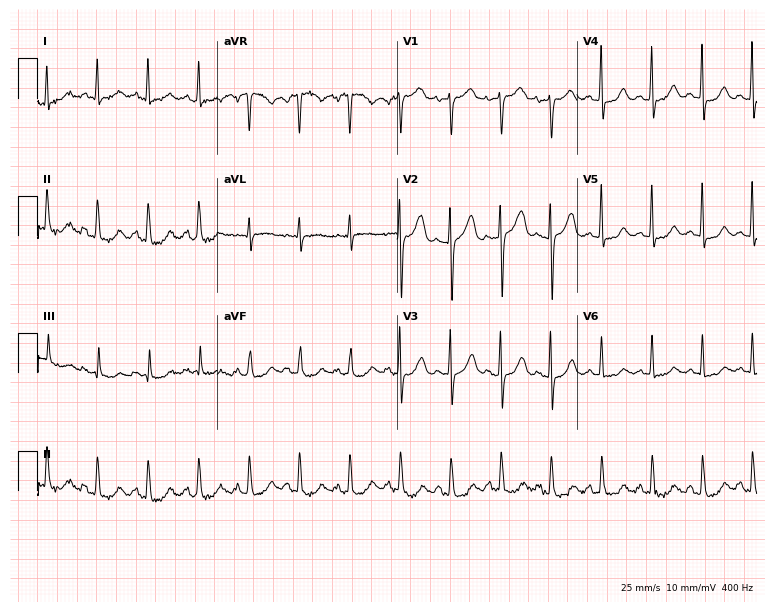
Electrocardiogram (7.3-second recording at 400 Hz), a female patient, 56 years old. Interpretation includes sinus tachycardia (a sinus rate of 100 beats per minute or more).